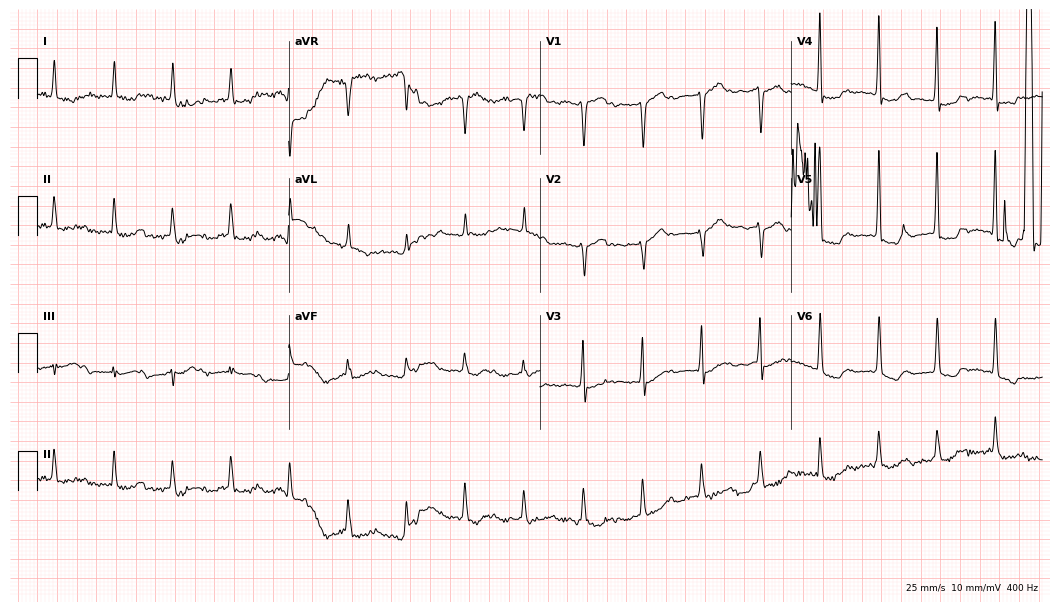
12-lead ECG from a 78-year-old male. No first-degree AV block, right bundle branch block, left bundle branch block, sinus bradycardia, atrial fibrillation or sinus tachycardia recorded for this tracing.